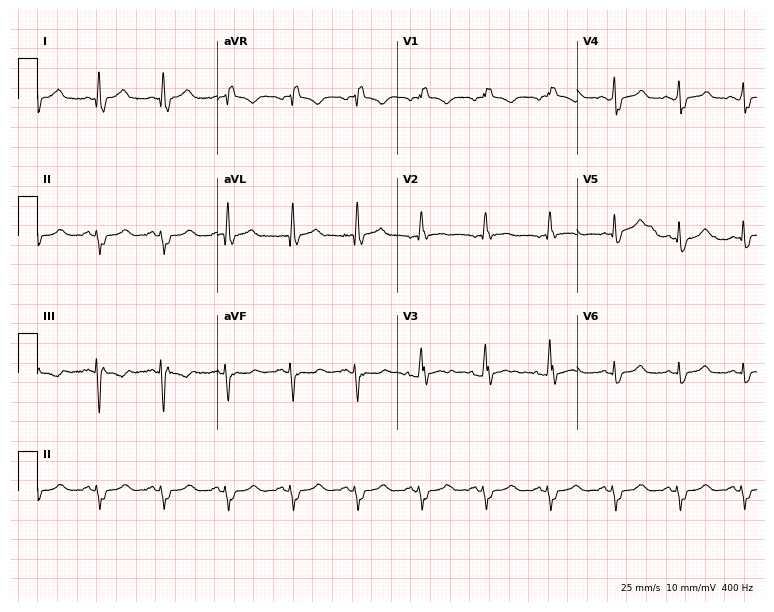
12-lead ECG from a woman, 44 years old (7.3-second recording at 400 Hz). No first-degree AV block, right bundle branch block, left bundle branch block, sinus bradycardia, atrial fibrillation or sinus tachycardia recorded for this tracing. Other findings, if any, are not listed.